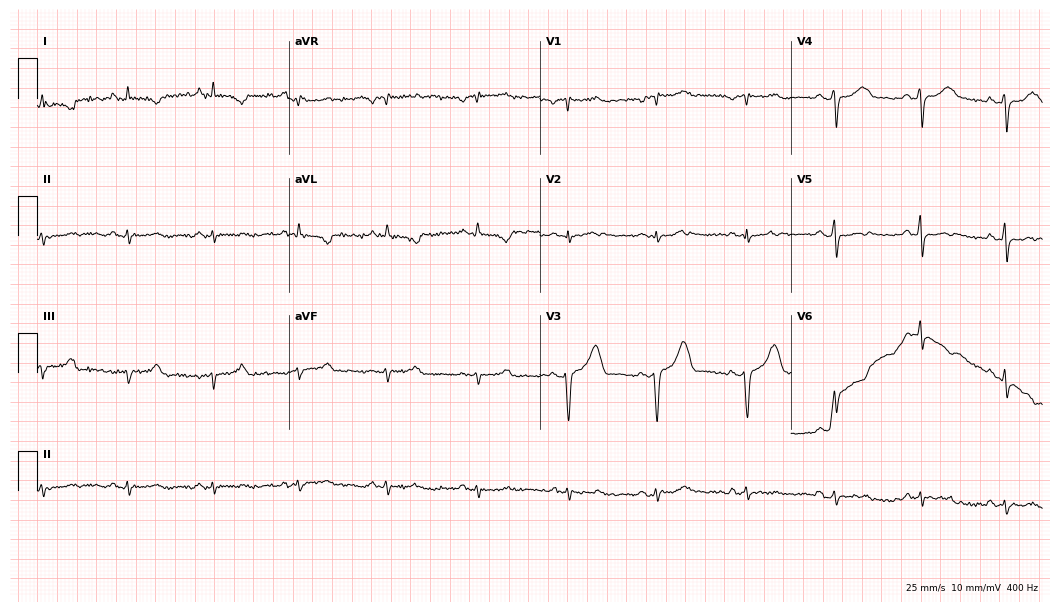
Resting 12-lead electrocardiogram. Patient: a 74-year-old male. None of these six findings is recorded: first-degree AV block, right bundle branch block, left bundle branch block, sinus bradycardia, atrial fibrillation, sinus tachycardia.